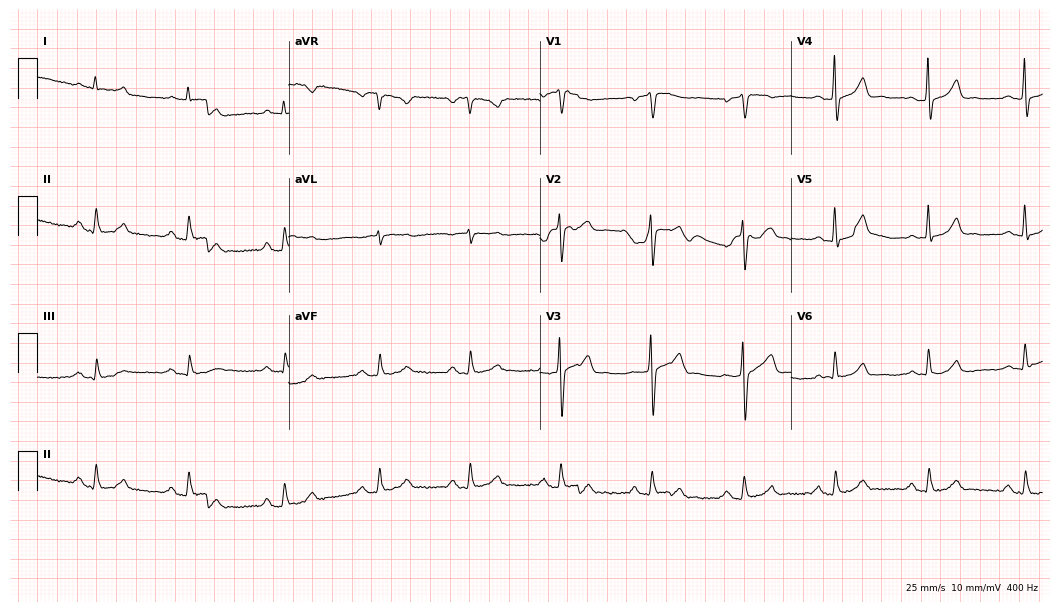
Standard 12-lead ECG recorded from a 63-year-old male patient. None of these six findings is recorded: first-degree AV block, right bundle branch block (RBBB), left bundle branch block (LBBB), sinus bradycardia, atrial fibrillation (AF), sinus tachycardia.